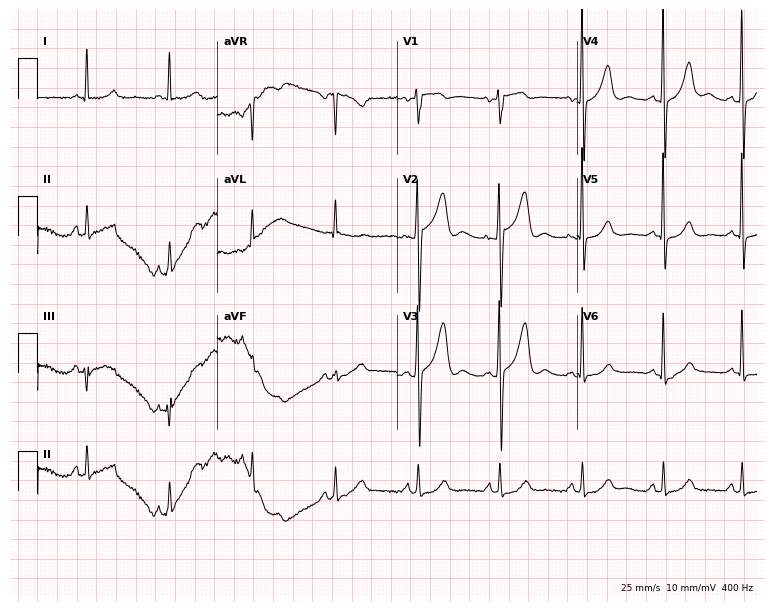
12-lead ECG from a 66-year-old male patient. Labelled as a normal ECG.